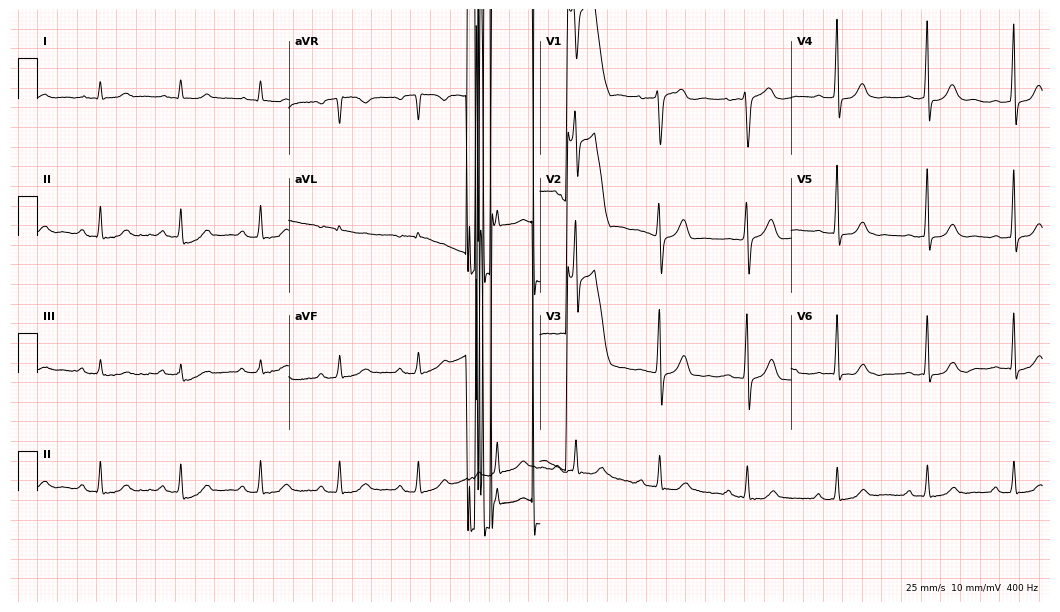
Standard 12-lead ECG recorded from a 57-year-old male (10.2-second recording at 400 Hz). None of these six findings is recorded: first-degree AV block, right bundle branch block (RBBB), left bundle branch block (LBBB), sinus bradycardia, atrial fibrillation (AF), sinus tachycardia.